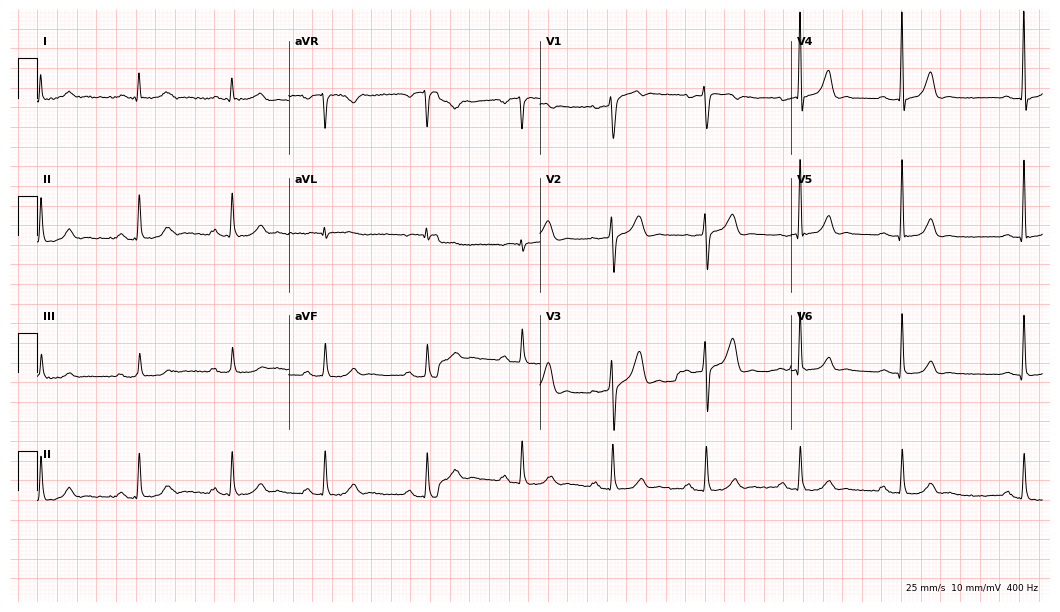
Standard 12-lead ECG recorded from a 33-year-old man (10.2-second recording at 400 Hz). Read as a normal ECG.